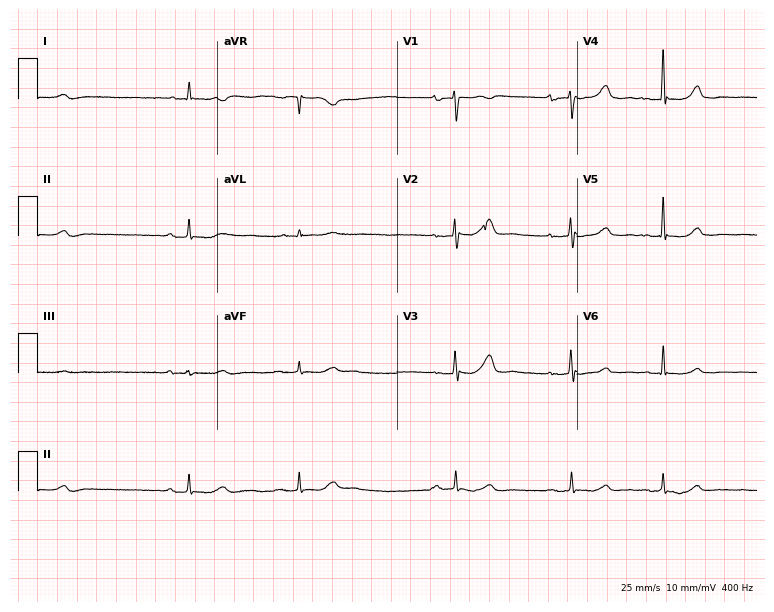
Standard 12-lead ECG recorded from a female, 69 years old. The tracing shows first-degree AV block, right bundle branch block (RBBB), sinus bradycardia (a sinus rate of 50 beats per minute or less).